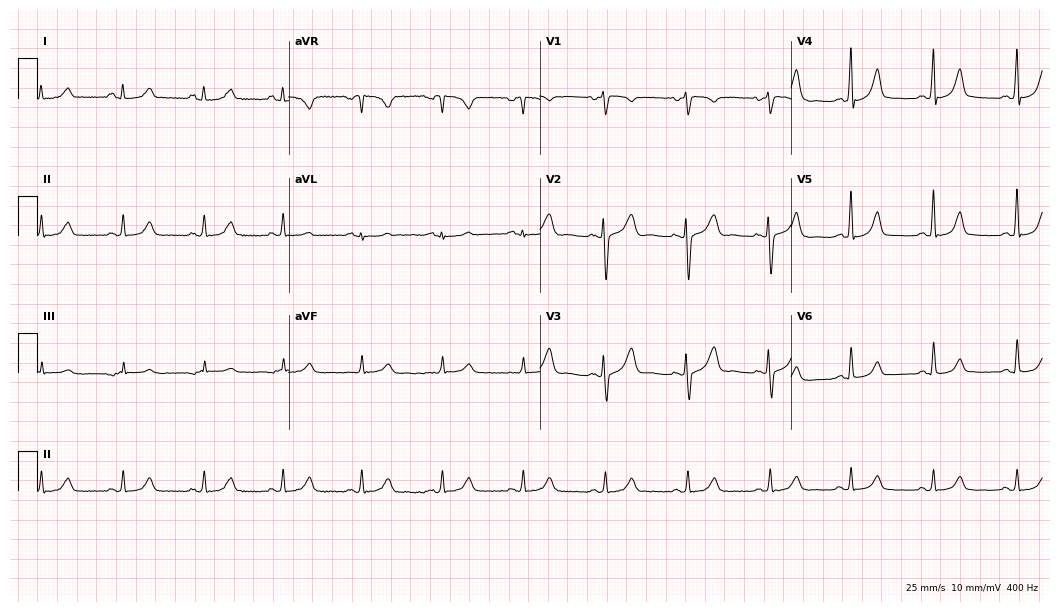
ECG (10.2-second recording at 400 Hz) — a 28-year-old female patient. Labelled as a normal ECG.